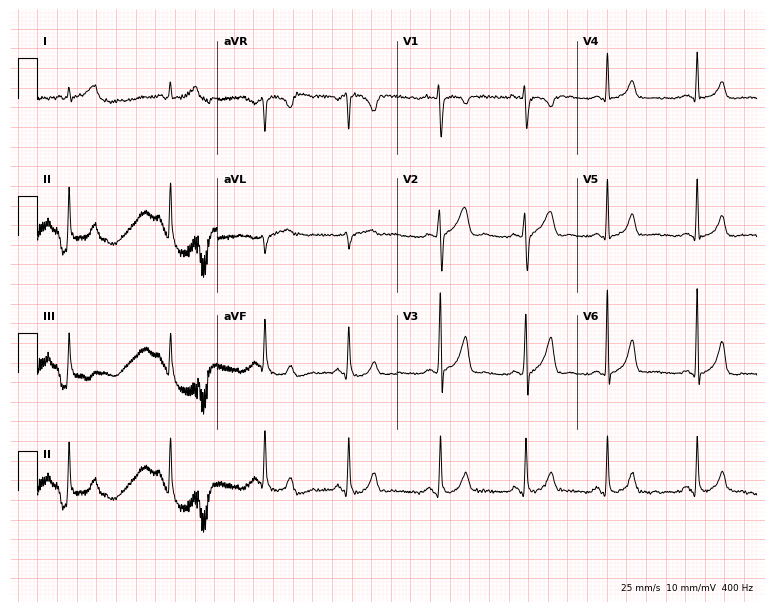
ECG (7.3-second recording at 400 Hz) — a woman, 31 years old. Screened for six findings — first-degree AV block, right bundle branch block (RBBB), left bundle branch block (LBBB), sinus bradycardia, atrial fibrillation (AF), sinus tachycardia — none is recorded. Other findings, if any, are not listed.